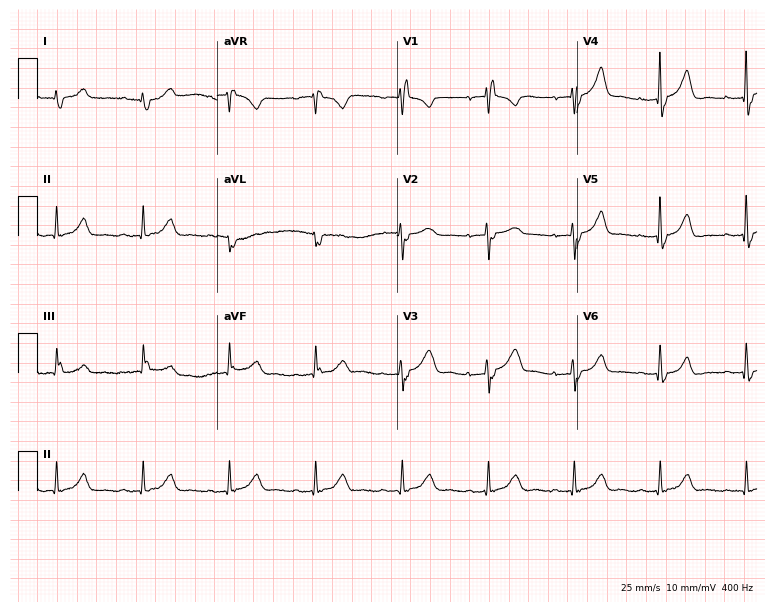
12-lead ECG from a 63-year-old woman. Screened for six findings — first-degree AV block, right bundle branch block, left bundle branch block, sinus bradycardia, atrial fibrillation, sinus tachycardia — none is recorded.